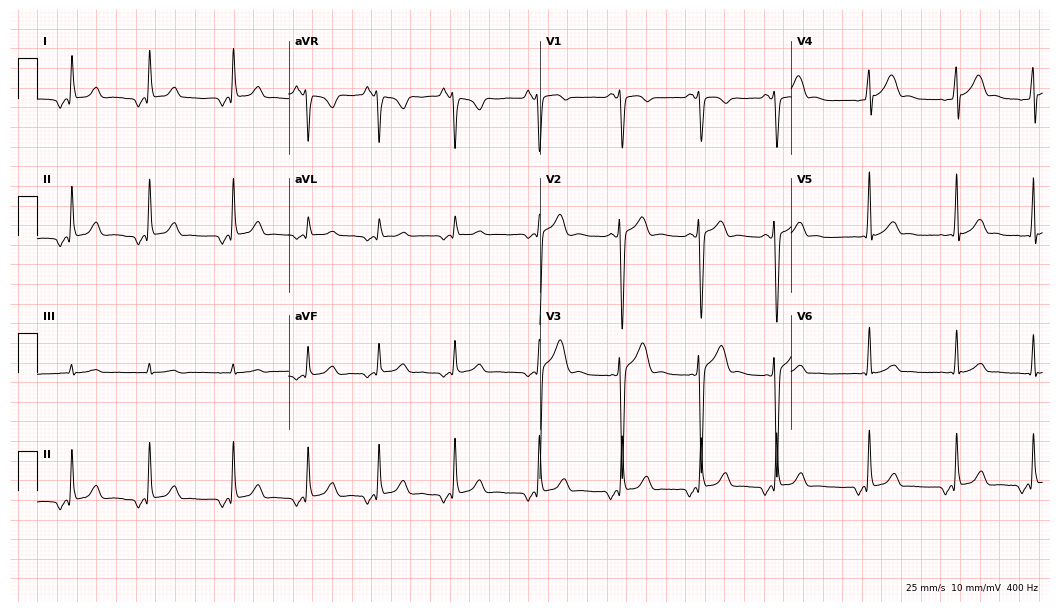
12-lead ECG (10.2-second recording at 400 Hz) from a male, 20 years old. Labelled as a normal ECG.